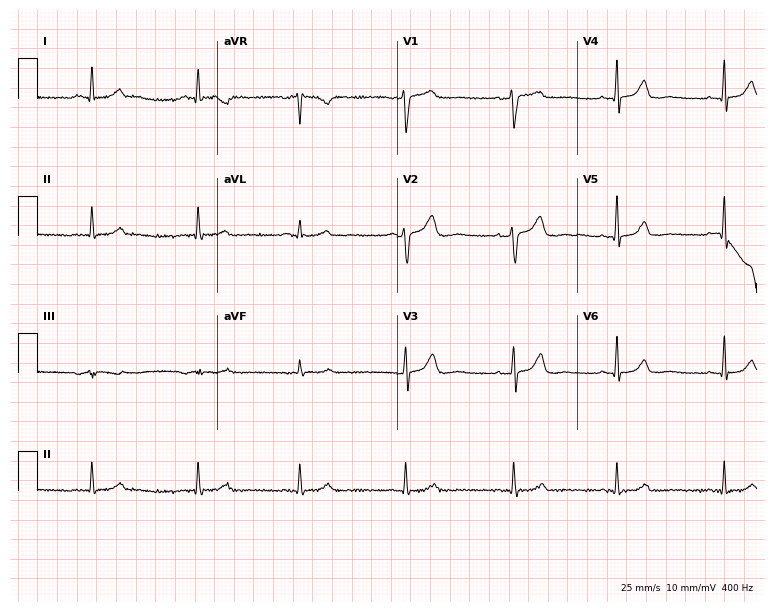
ECG — a woman, 59 years old. Screened for six findings — first-degree AV block, right bundle branch block, left bundle branch block, sinus bradycardia, atrial fibrillation, sinus tachycardia — none is recorded.